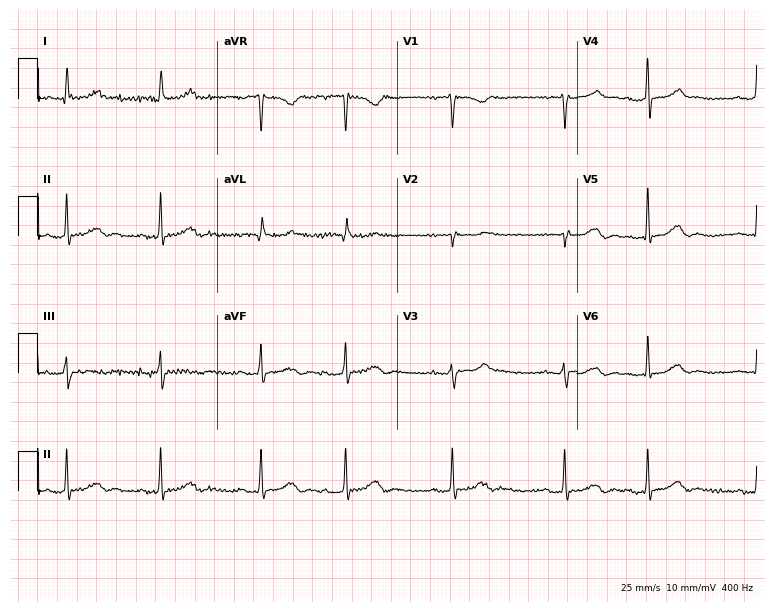
Resting 12-lead electrocardiogram. Patient: a 66-year-old woman. None of these six findings is recorded: first-degree AV block, right bundle branch block (RBBB), left bundle branch block (LBBB), sinus bradycardia, atrial fibrillation (AF), sinus tachycardia.